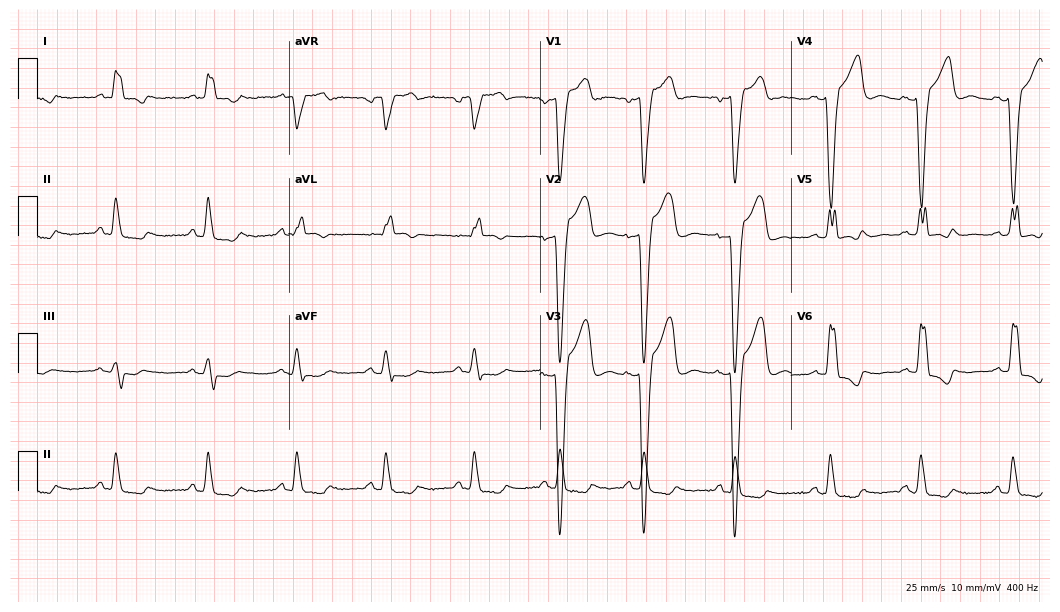
12-lead ECG from a 40-year-old man. Shows left bundle branch block.